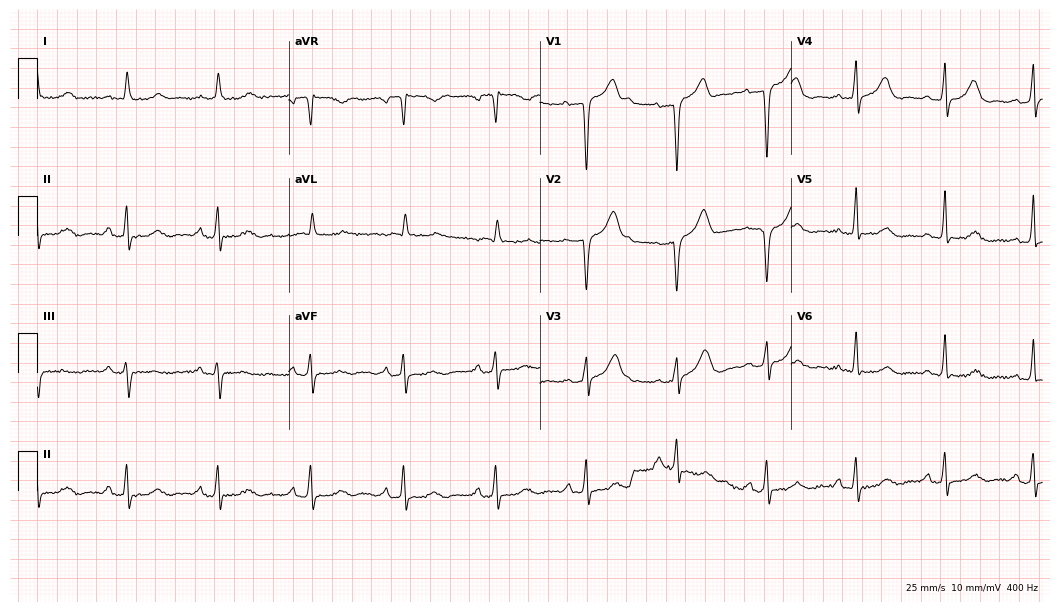
Standard 12-lead ECG recorded from a male, 71 years old. None of these six findings is recorded: first-degree AV block, right bundle branch block, left bundle branch block, sinus bradycardia, atrial fibrillation, sinus tachycardia. Findings outside these six are not listed.